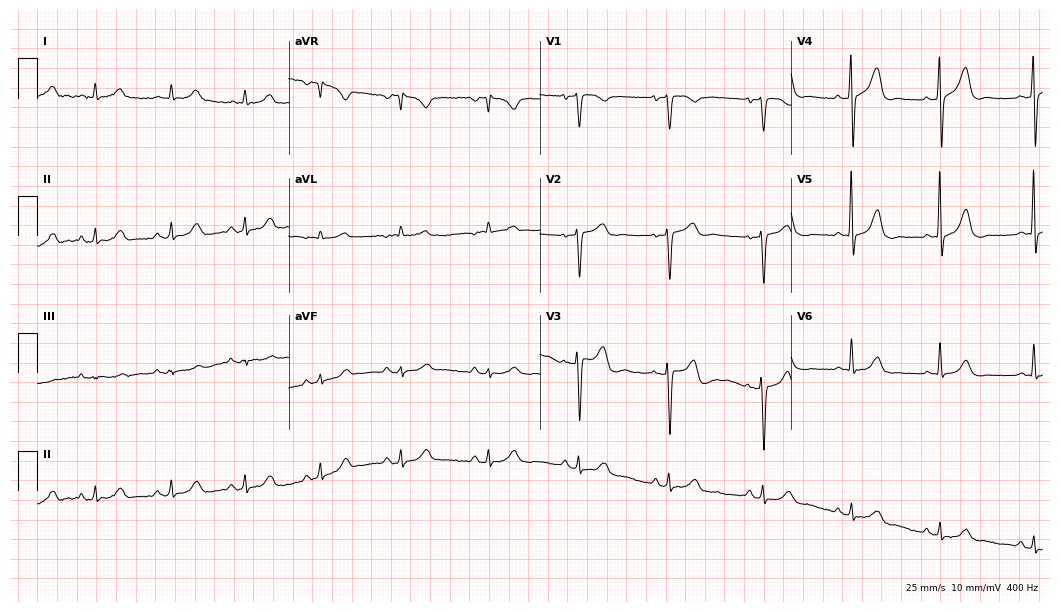
12-lead ECG from a woman, 70 years old. Screened for six findings — first-degree AV block, right bundle branch block, left bundle branch block, sinus bradycardia, atrial fibrillation, sinus tachycardia — none is recorded. Findings outside these six are not listed.